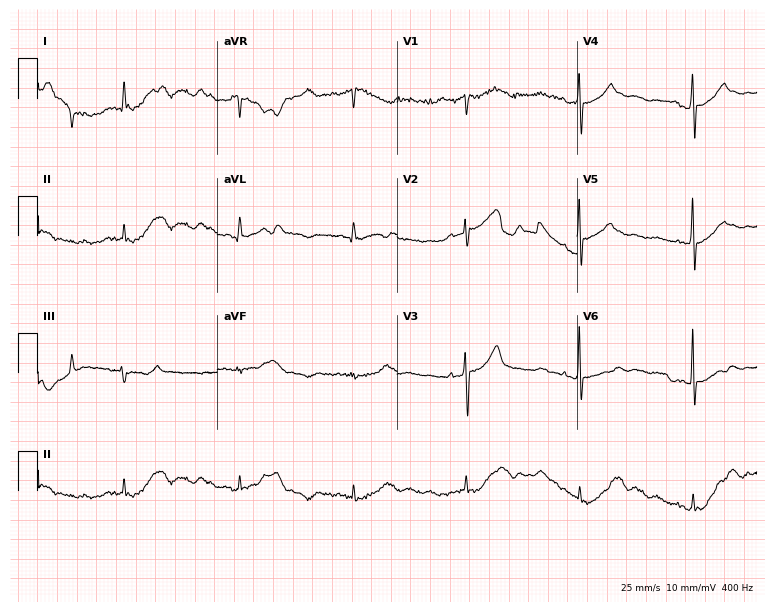
12-lead ECG from an 83-year-old male (7.3-second recording at 400 Hz). No first-degree AV block, right bundle branch block, left bundle branch block, sinus bradycardia, atrial fibrillation or sinus tachycardia recorded for this tracing.